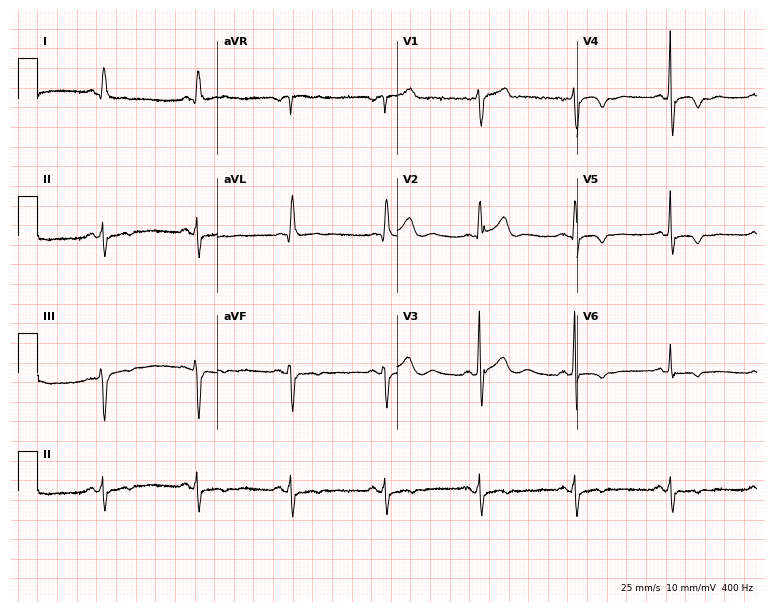
12-lead ECG from a man, 74 years old. Screened for six findings — first-degree AV block, right bundle branch block, left bundle branch block, sinus bradycardia, atrial fibrillation, sinus tachycardia — none is recorded. Findings outside these six are not listed.